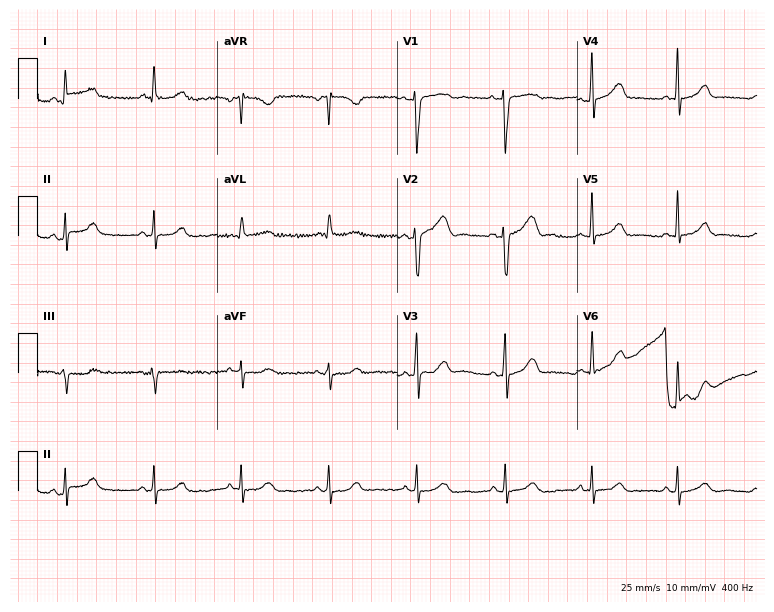
12-lead ECG (7.3-second recording at 400 Hz) from a female, 22 years old. Labelled as a normal ECG.